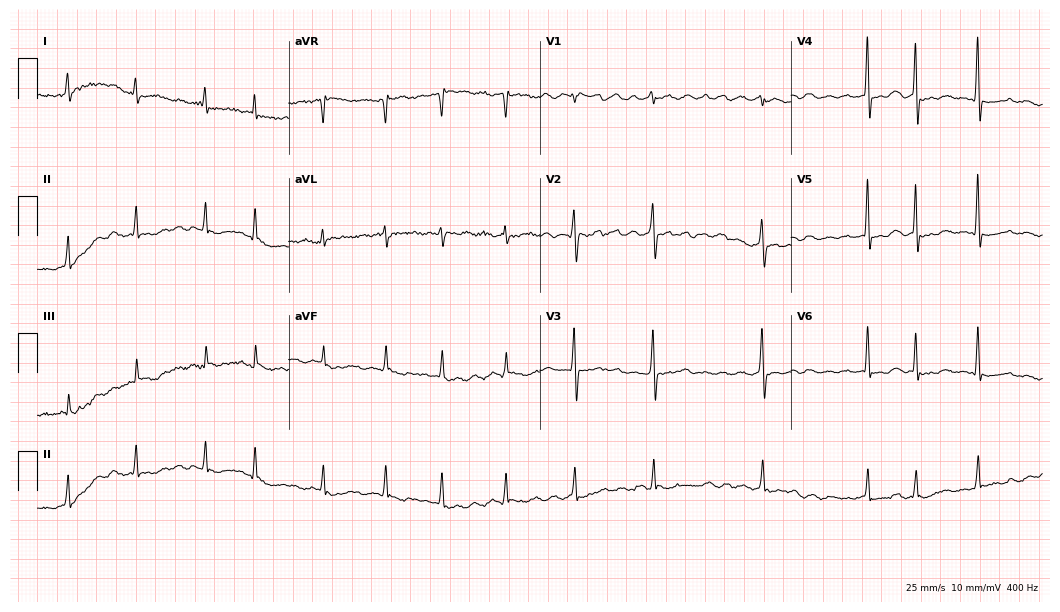
ECG — a 71-year-old female patient. Findings include atrial fibrillation (AF).